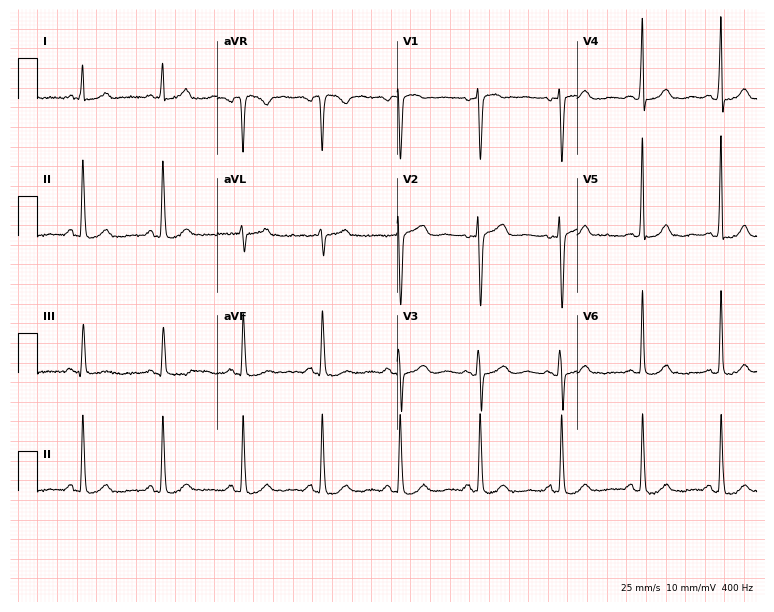
Electrocardiogram, a female, 55 years old. Overall reading on record: normal ECG.